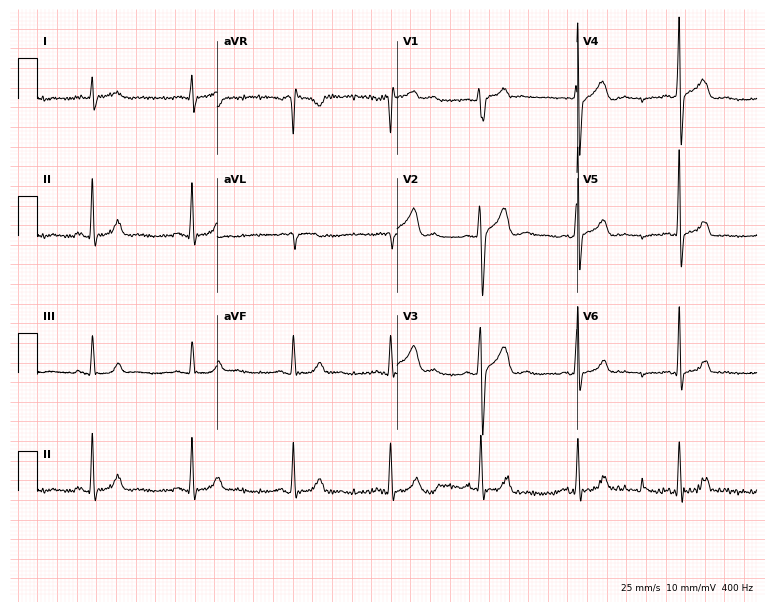
12-lead ECG from a male, 28 years old. Recorded interpretation: within normal limits.